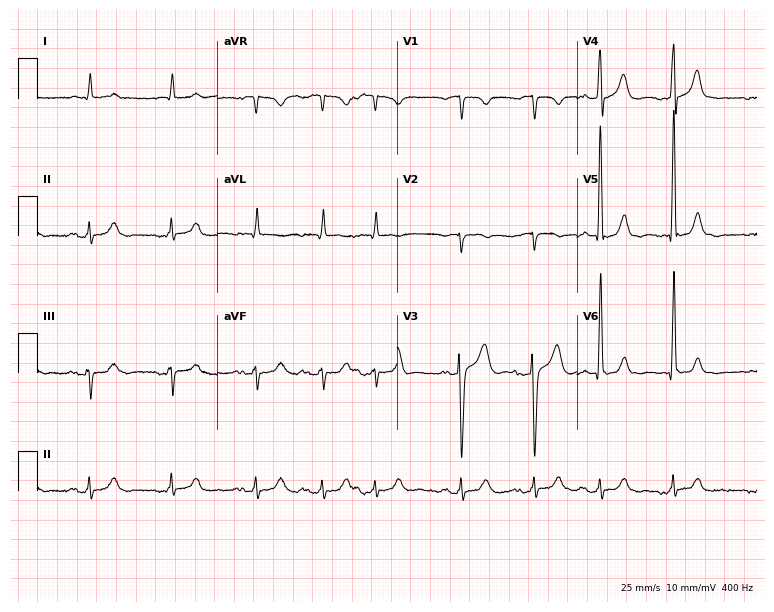
ECG — an 85-year-old male patient. Screened for six findings — first-degree AV block, right bundle branch block, left bundle branch block, sinus bradycardia, atrial fibrillation, sinus tachycardia — none is recorded.